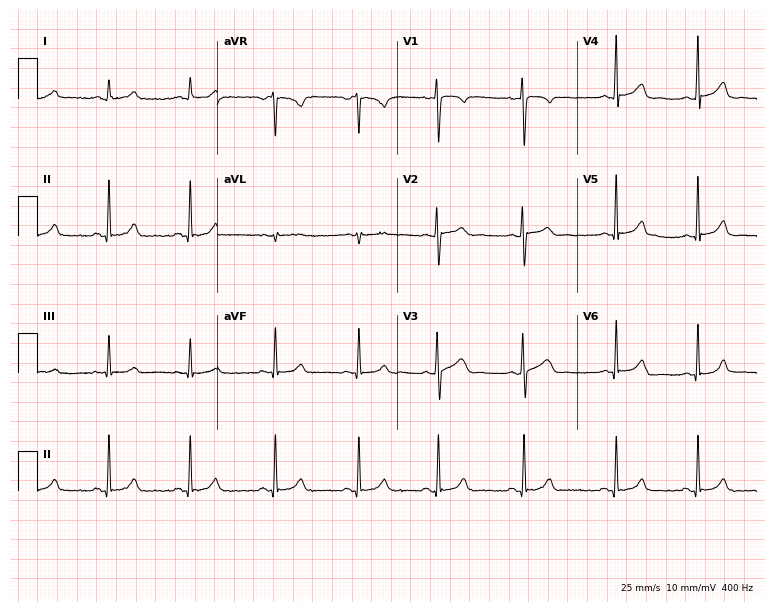
12-lead ECG (7.3-second recording at 400 Hz) from a 28-year-old female. Labelled as a normal ECG.